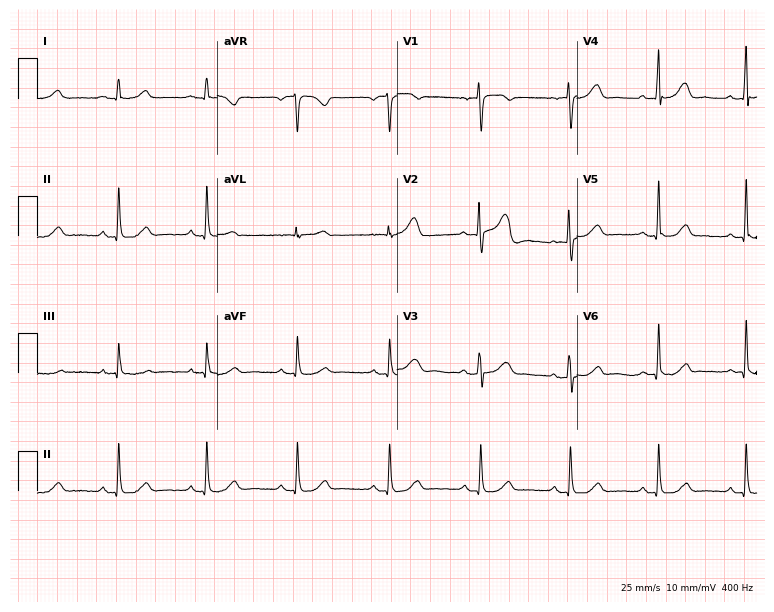
Electrocardiogram (7.3-second recording at 400 Hz), a female, 62 years old. Overall reading on record: normal ECG.